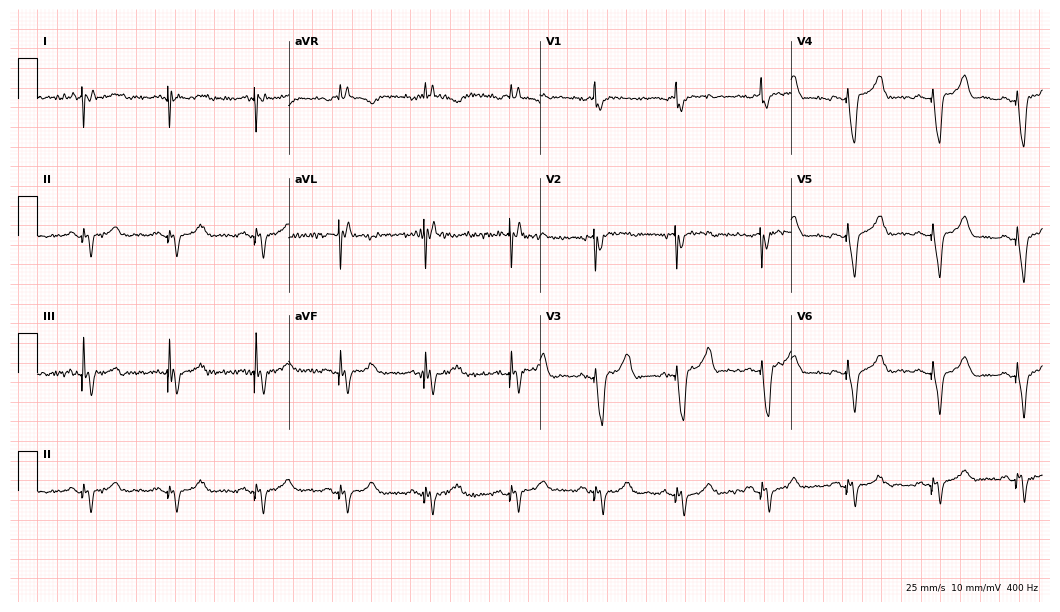
Resting 12-lead electrocardiogram (10.2-second recording at 400 Hz). Patient: a woman, 85 years old. None of these six findings is recorded: first-degree AV block, right bundle branch block, left bundle branch block, sinus bradycardia, atrial fibrillation, sinus tachycardia. Only these six findings were labelled.